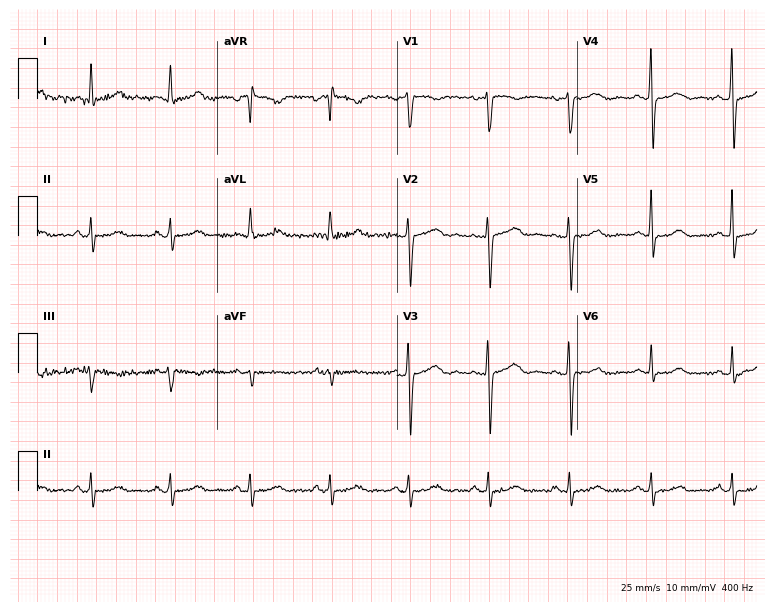
12-lead ECG from a female patient, 49 years old. Screened for six findings — first-degree AV block, right bundle branch block, left bundle branch block, sinus bradycardia, atrial fibrillation, sinus tachycardia — none is recorded. Only these six findings were labelled.